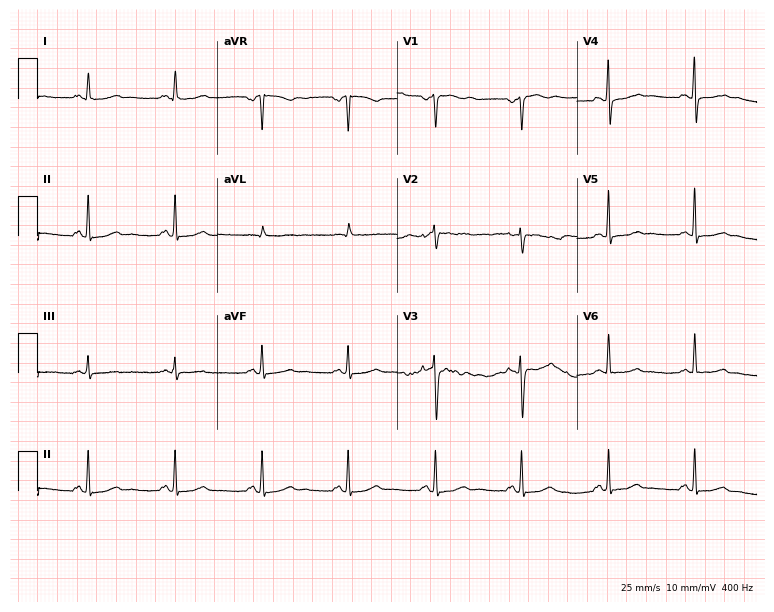
Electrocardiogram (7.3-second recording at 400 Hz), a woman, 56 years old. Of the six screened findings (first-degree AV block, right bundle branch block, left bundle branch block, sinus bradycardia, atrial fibrillation, sinus tachycardia), none is recorded.